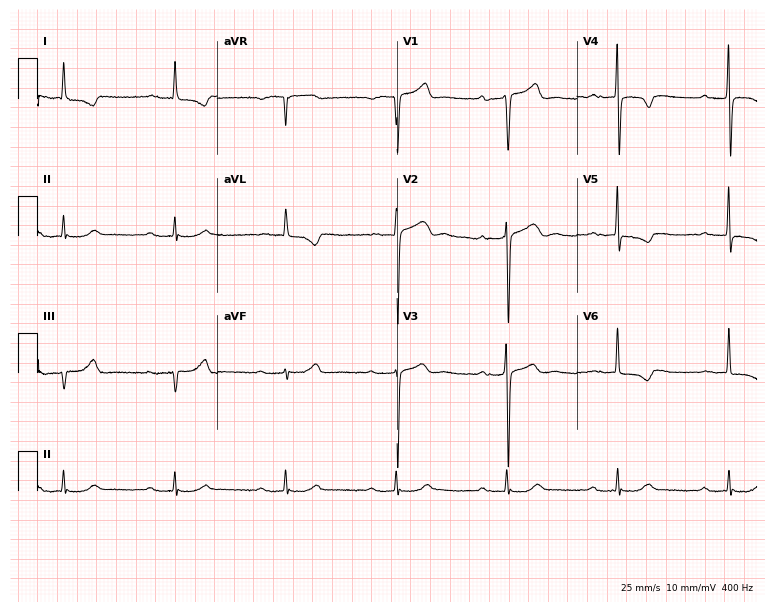
12-lead ECG from an 85-year-old man. Findings include first-degree AV block.